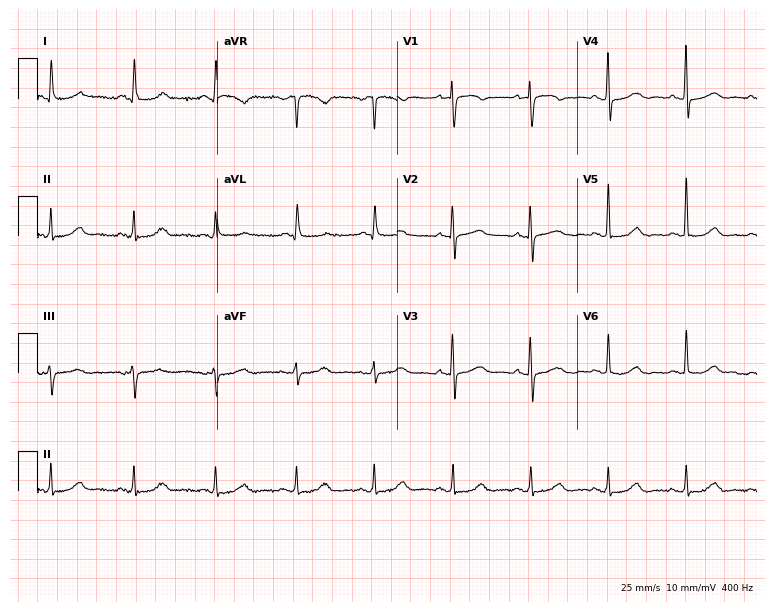
ECG (7.3-second recording at 400 Hz) — an 85-year-old female. Screened for six findings — first-degree AV block, right bundle branch block, left bundle branch block, sinus bradycardia, atrial fibrillation, sinus tachycardia — none is recorded.